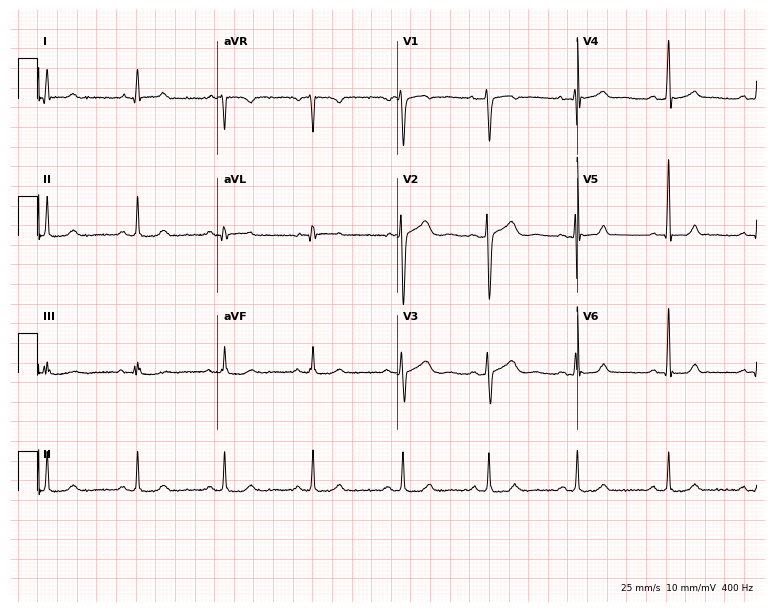
12-lead ECG from a woman, 35 years old (7.3-second recording at 400 Hz). Recorded interpretation: within normal limits.